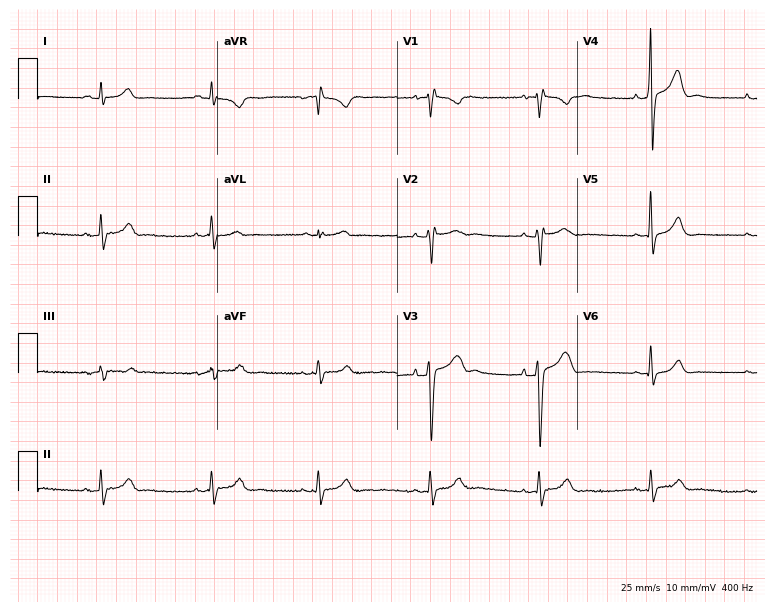
12-lead ECG from a man, 36 years old. Screened for six findings — first-degree AV block, right bundle branch block, left bundle branch block, sinus bradycardia, atrial fibrillation, sinus tachycardia — none is recorded. Other findings, if any, are not listed.